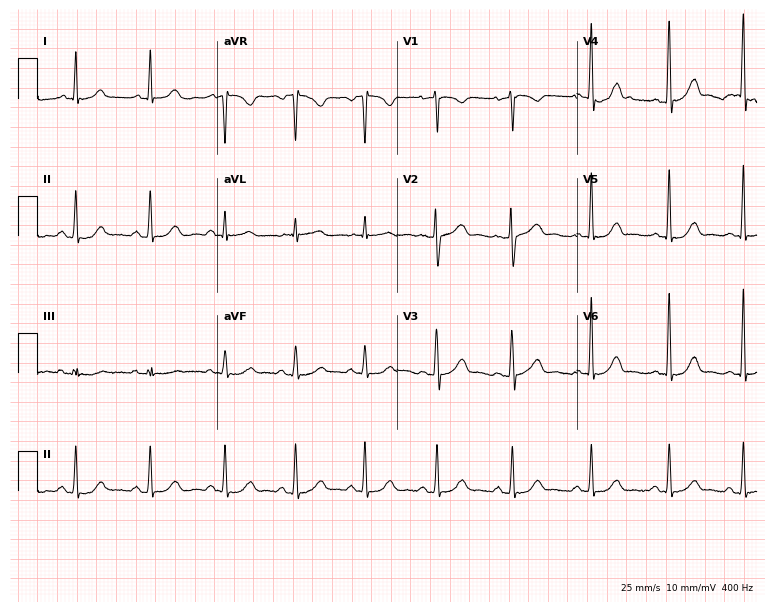
Standard 12-lead ECG recorded from a 32-year-old female. Read as a normal ECG.